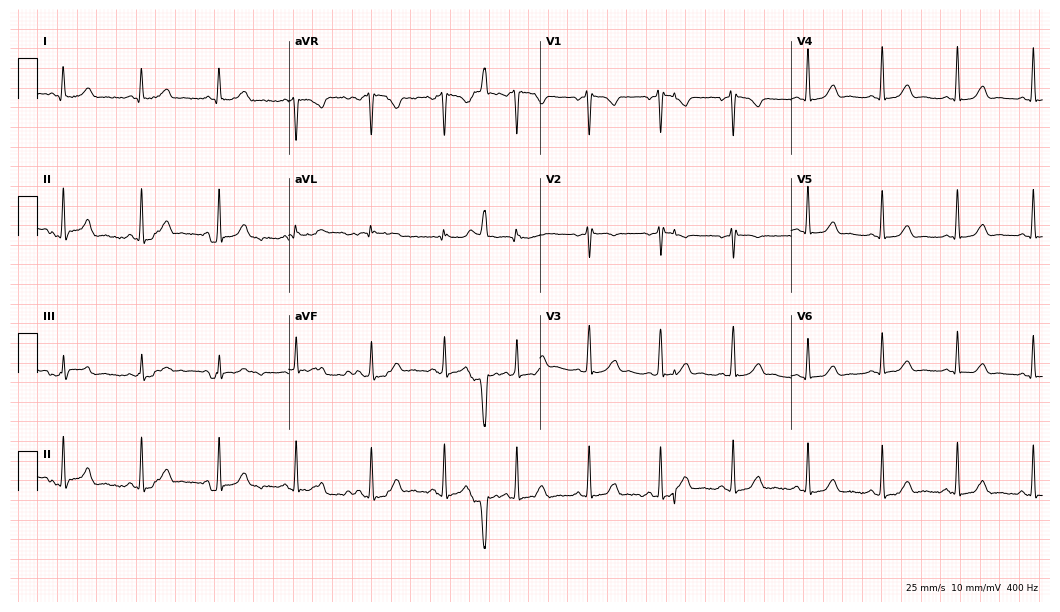
Standard 12-lead ECG recorded from a woman, 34 years old. None of these six findings is recorded: first-degree AV block, right bundle branch block, left bundle branch block, sinus bradycardia, atrial fibrillation, sinus tachycardia. Other findings, if any, are not listed.